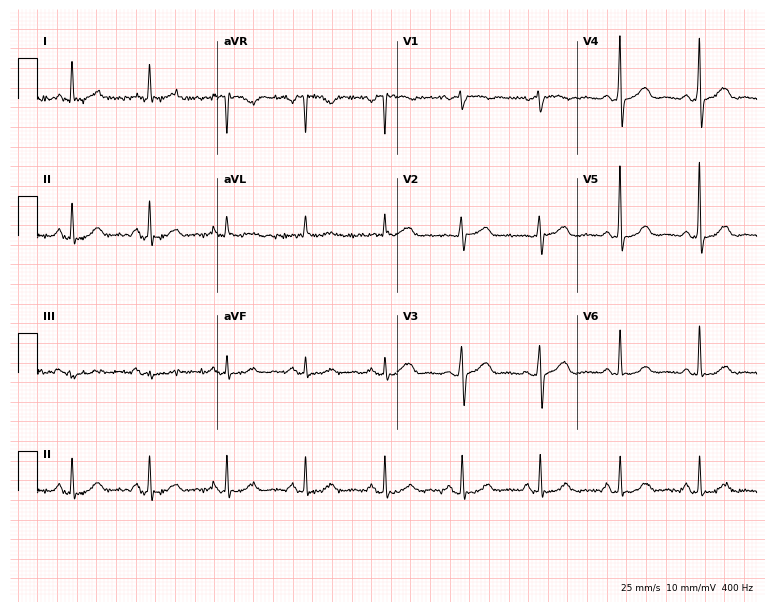
Standard 12-lead ECG recorded from a 66-year-old female. Read as a normal ECG.